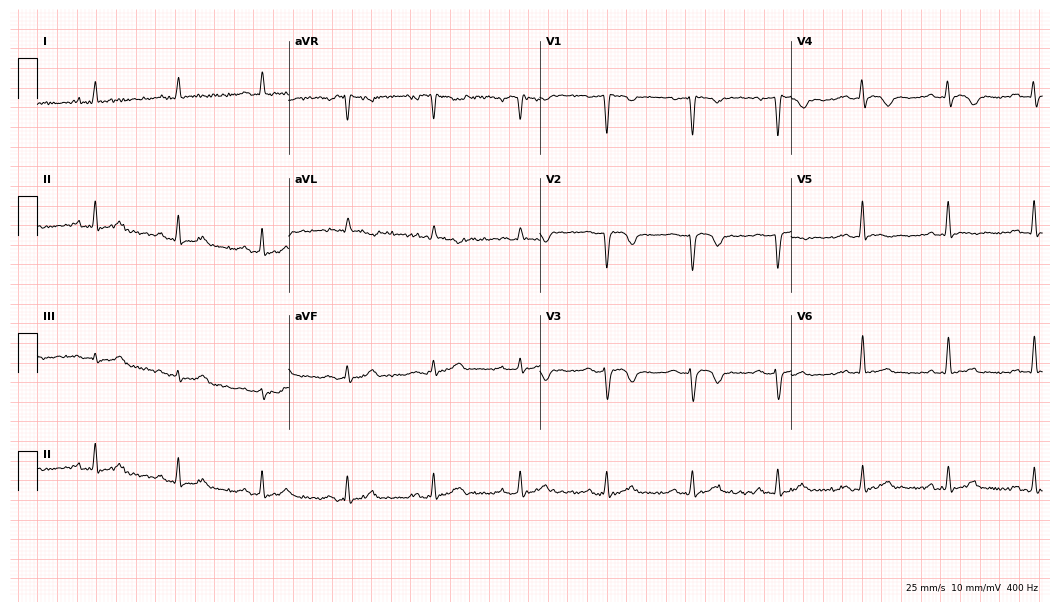
12-lead ECG from a 60-year-old man. Labelled as a normal ECG.